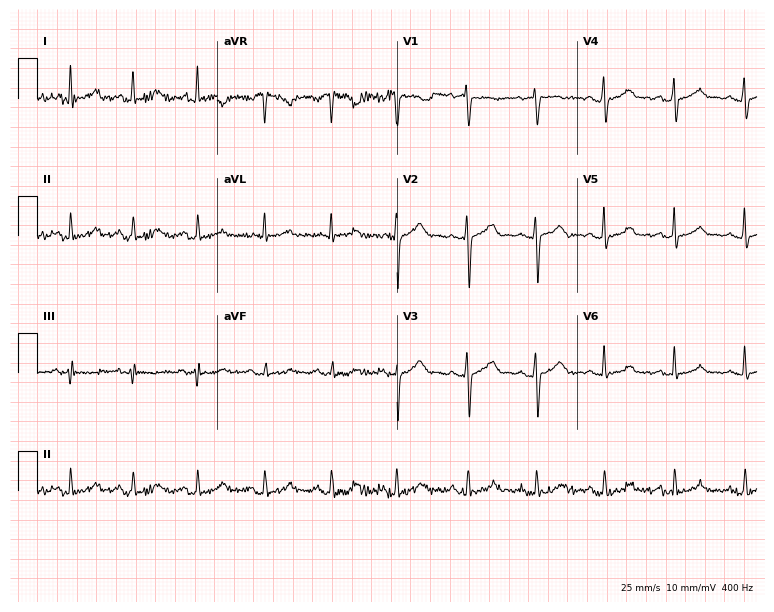
ECG (7.3-second recording at 400 Hz) — a 38-year-old female patient. Labelled as a normal ECG.